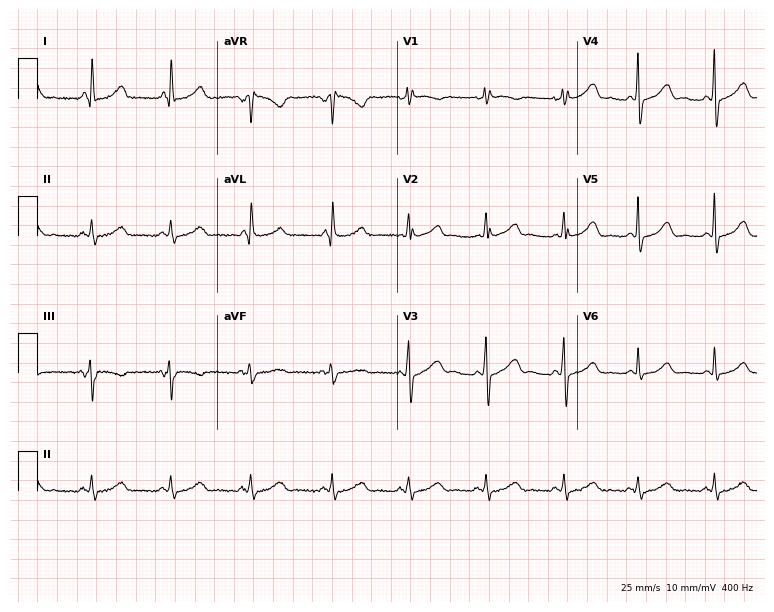
Resting 12-lead electrocardiogram (7.3-second recording at 400 Hz). Patient: a 54-year-old female. Read as a normal ECG.